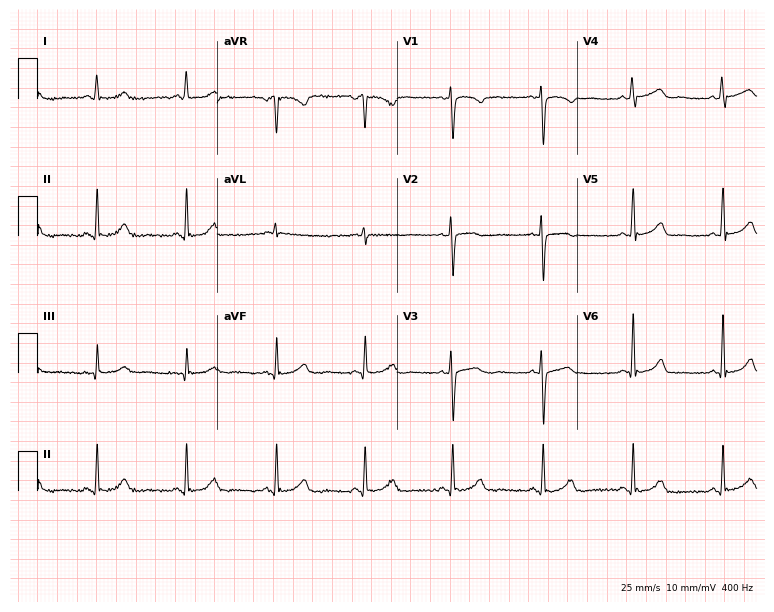
Standard 12-lead ECG recorded from a woman, 32 years old. Read as a normal ECG.